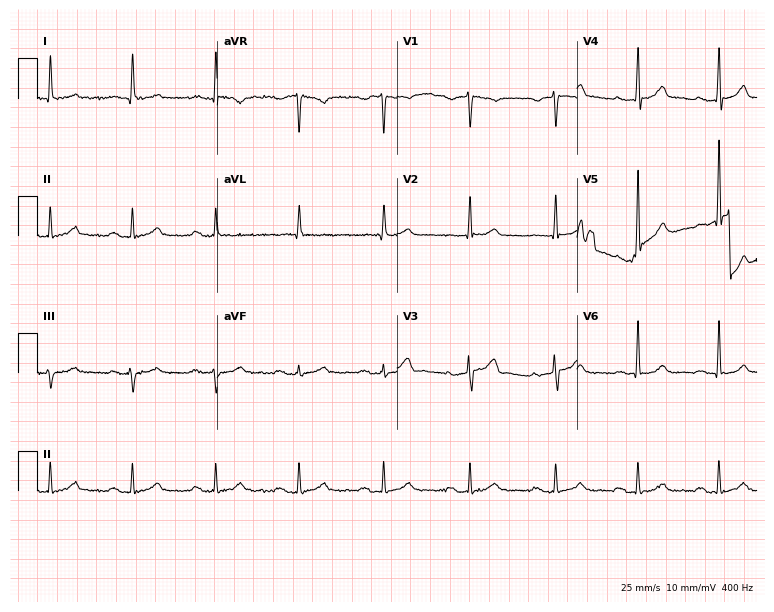
Electrocardiogram, a 48-year-old male patient. Overall reading on record: normal ECG.